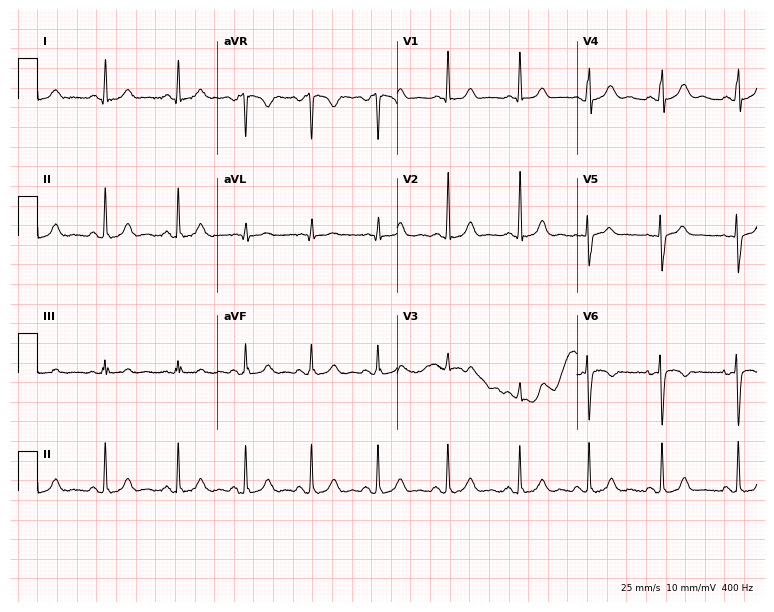
12-lead ECG (7.3-second recording at 400 Hz) from a woman, 25 years old. Screened for six findings — first-degree AV block, right bundle branch block, left bundle branch block, sinus bradycardia, atrial fibrillation, sinus tachycardia — none is recorded.